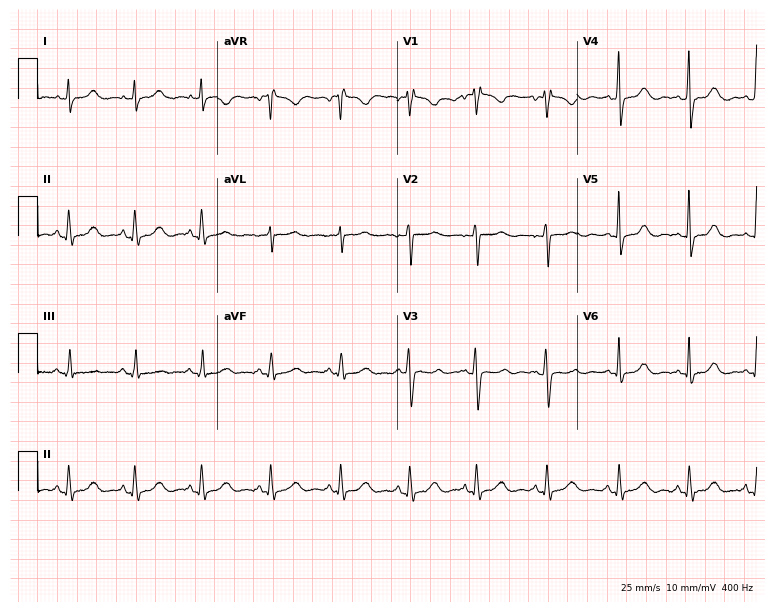
Resting 12-lead electrocardiogram (7.3-second recording at 400 Hz). Patient: a 39-year-old female. Read as a normal ECG.